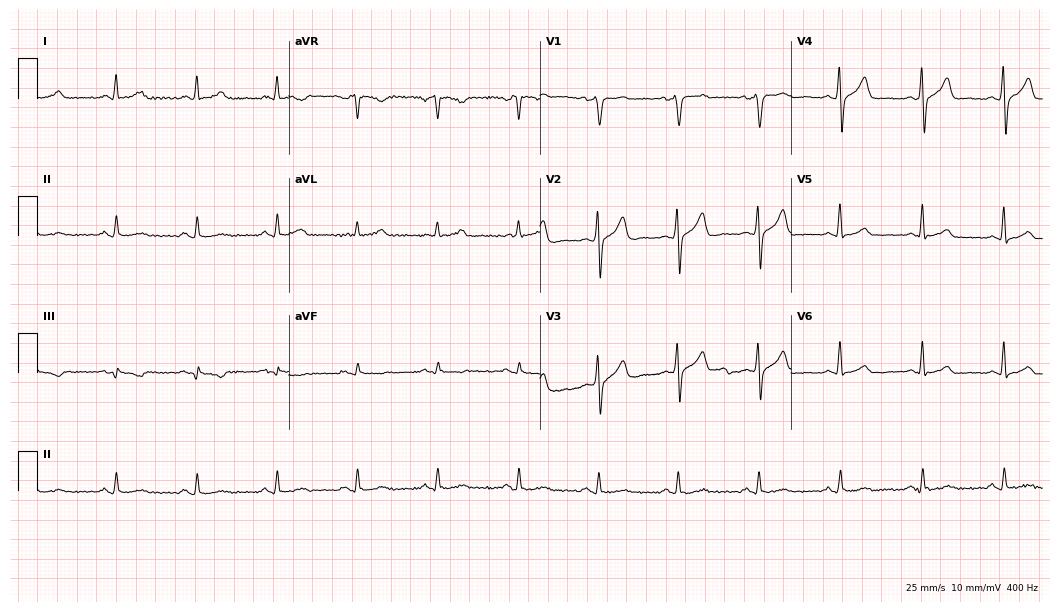
ECG — a man, 52 years old. Screened for six findings — first-degree AV block, right bundle branch block (RBBB), left bundle branch block (LBBB), sinus bradycardia, atrial fibrillation (AF), sinus tachycardia — none is recorded. Other findings, if any, are not listed.